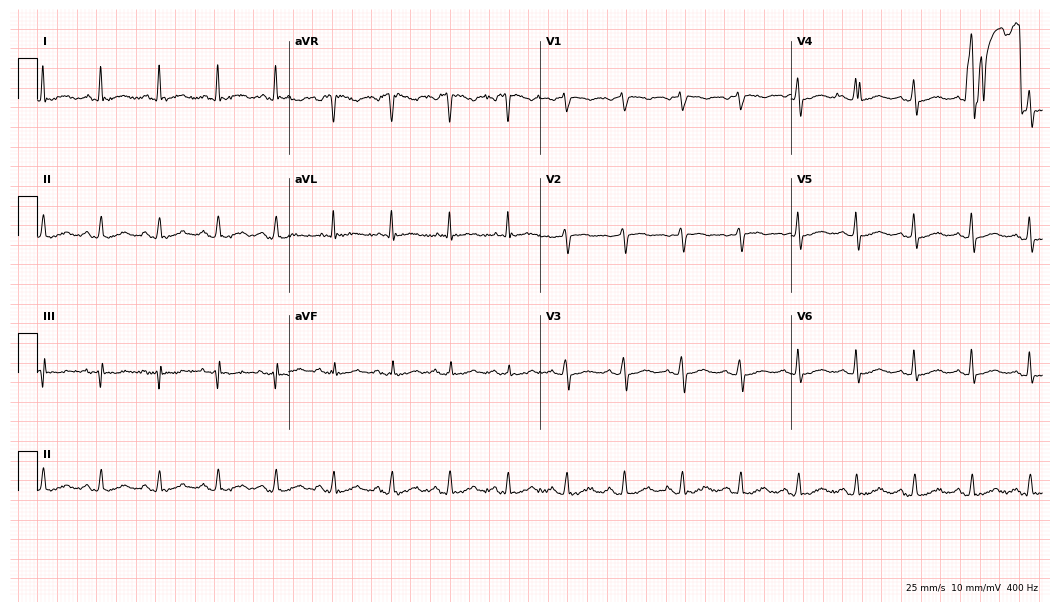
12-lead ECG from a 70-year-old woman. Findings include sinus tachycardia (a sinus rate of 100 beats per minute or more).